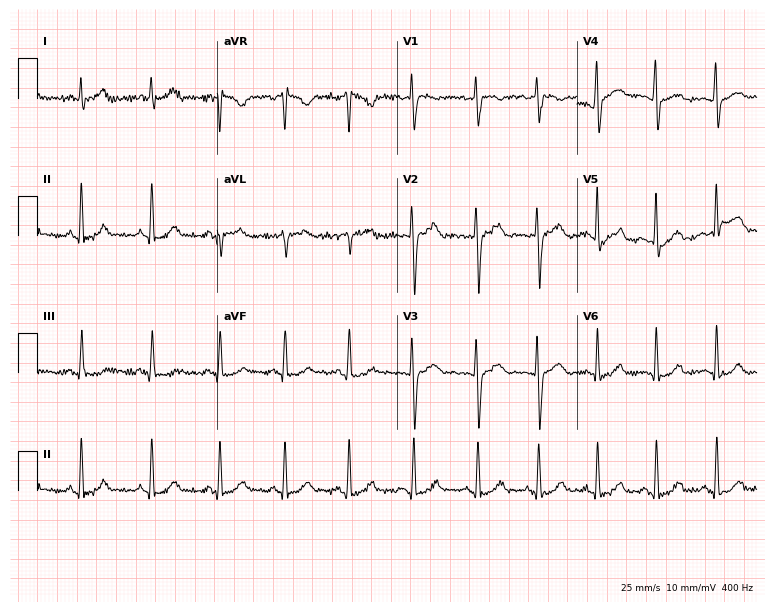
12-lead ECG from a 21-year-old female. No first-degree AV block, right bundle branch block (RBBB), left bundle branch block (LBBB), sinus bradycardia, atrial fibrillation (AF) or sinus tachycardia recorded for this tracing. Only these six findings were labelled.